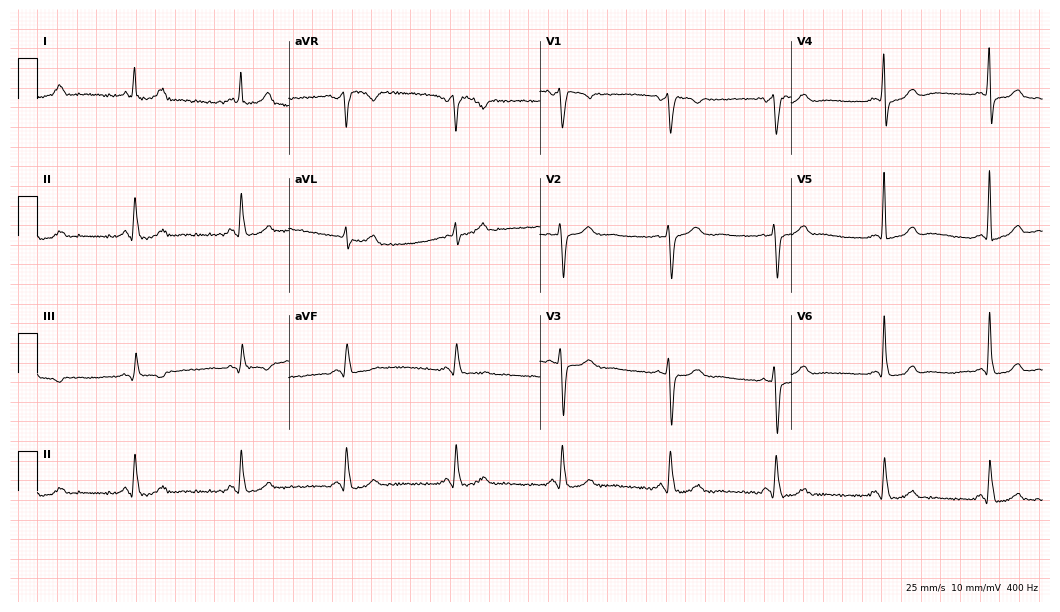
Resting 12-lead electrocardiogram. Patient: a 43-year-old female. None of these six findings is recorded: first-degree AV block, right bundle branch block, left bundle branch block, sinus bradycardia, atrial fibrillation, sinus tachycardia.